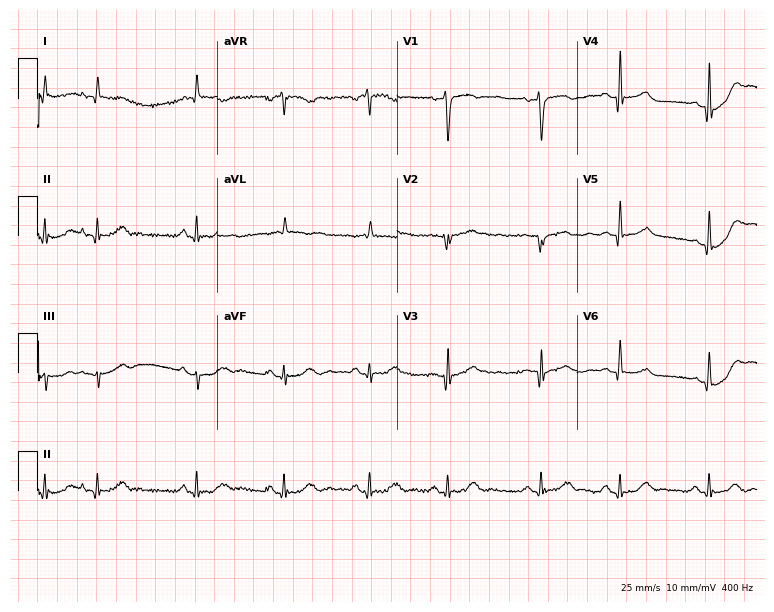
Resting 12-lead electrocardiogram (7.3-second recording at 400 Hz). Patient: a 77-year-old male. None of these six findings is recorded: first-degree AV block, right bundle branch block, left bundle branch block, sinus bradycardia, atrial fibrillation, sinus tachycardia. Only these six findings were labelled.